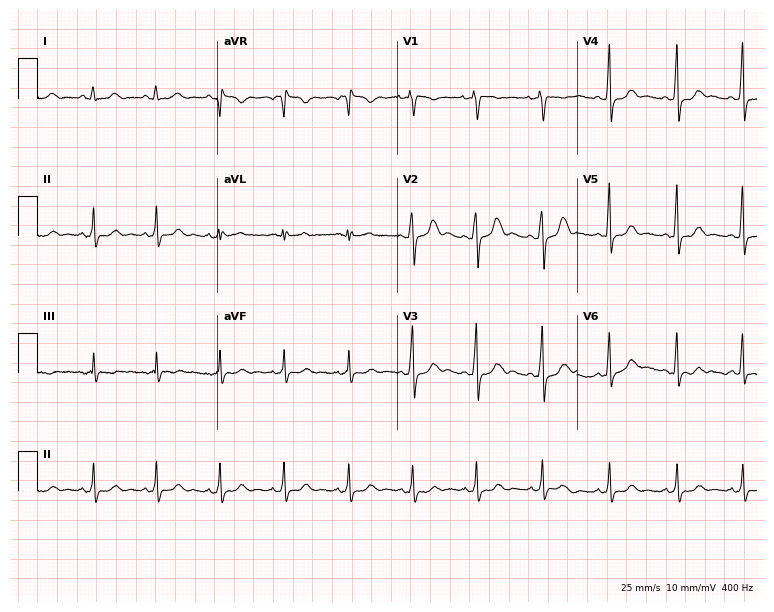
ECG (7.3-second recording at 400 Hz) — a 46-year-old female patient. Labelled as a normal ECG.